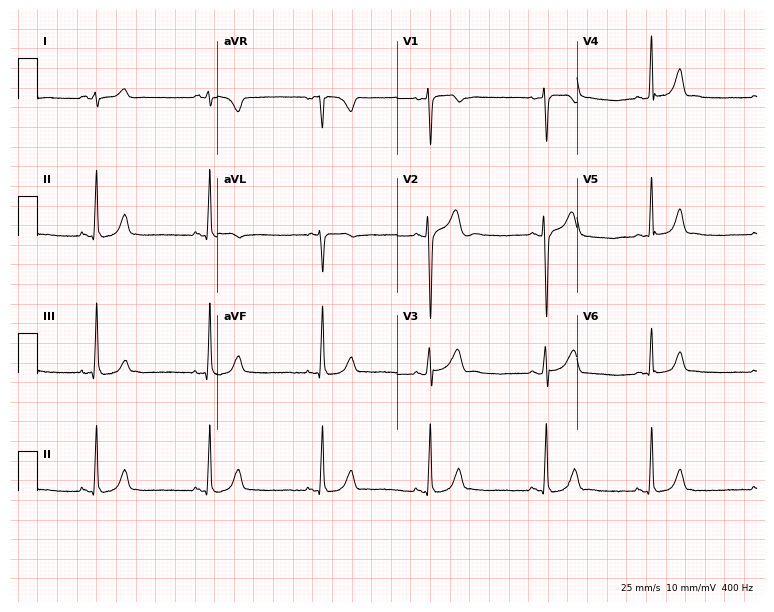
Standard 12-lead ECG recorded from a 24-year-old female patient (7.3-second recording at 400 Hz). Read as a normal ECG.